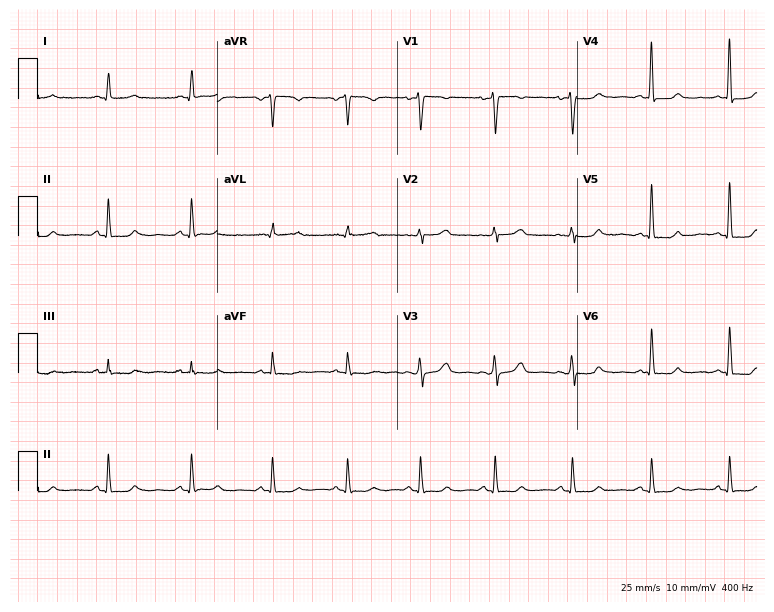
12-lead ECG from a 46-year-old female patient. Recorded interpretation: within normal limits.